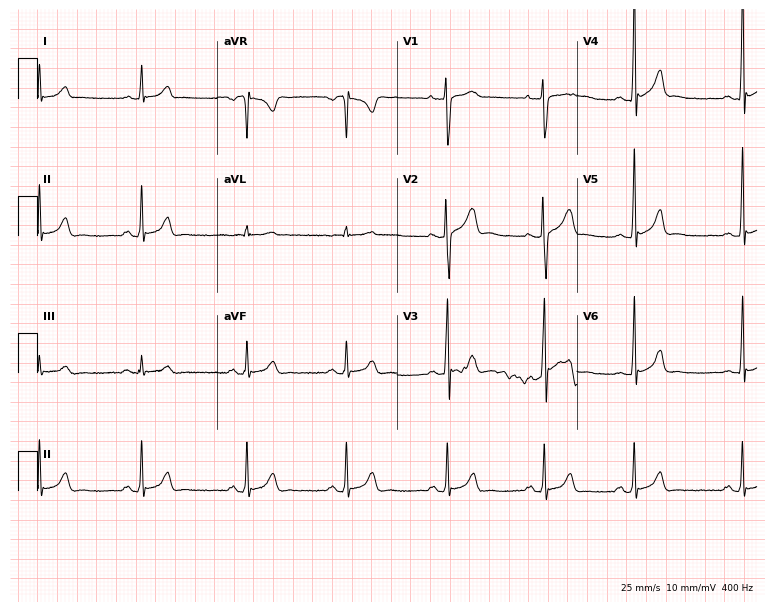
Resting 12-lead electrocardiogram (7.3-second recording at 400 Hz). Patient: a man, 24 years old. Read as a normal ECG.